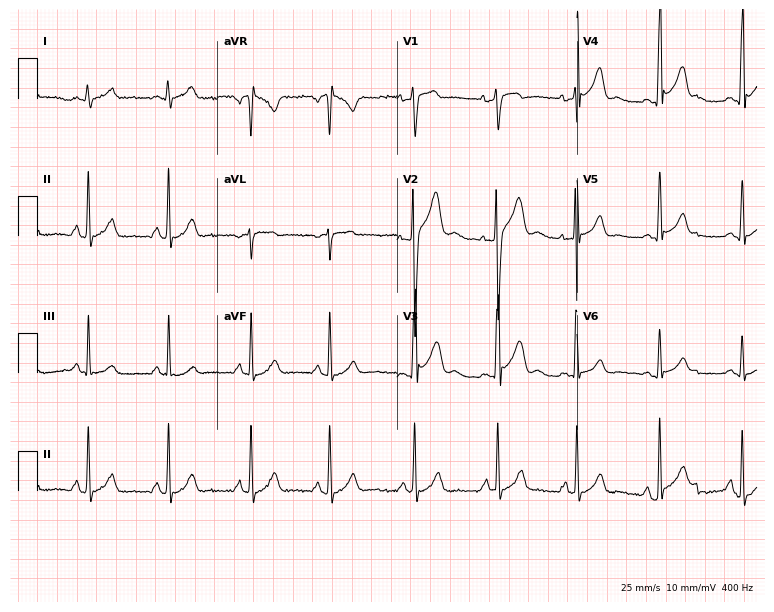
Electrocardiogram (7.3-second recording at 400 Hz), a male, 24 years old. Of the six screened findings (first-degree AV block, right bundle branch block (RBBB), left bundle branch block (LBBB), sinus bradycardia, atrial fibrillation (AF), sinus tachycardia), none is recorded. Other findings, if any, are not listed.